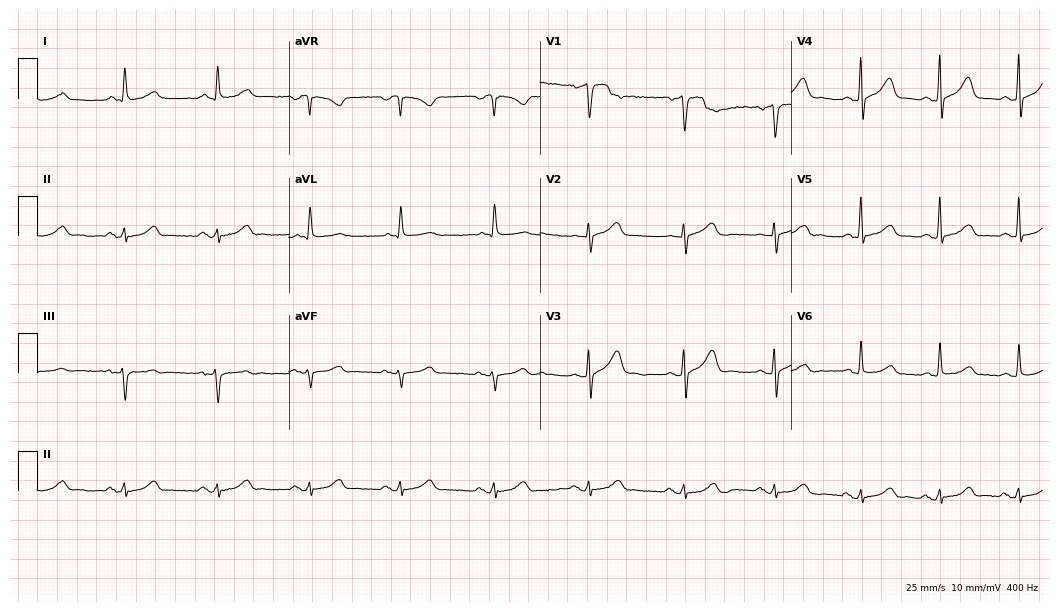
Resting 12-lead electrocardiogram. Patient: a male, 65 years old. Read as a normal ECG.